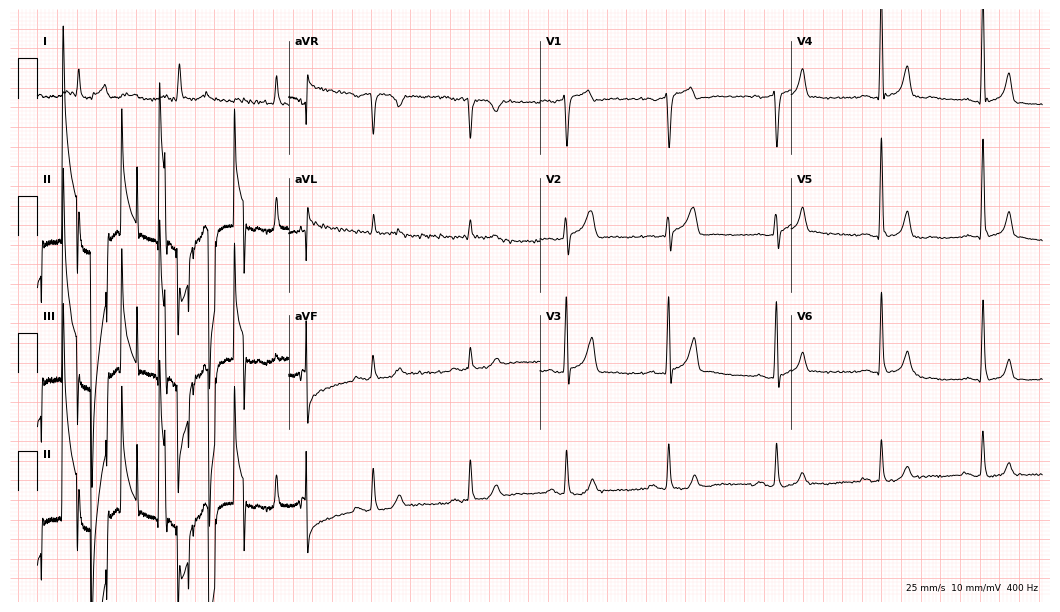
12-lead ECG from a 54-year-old male patient. Screened for six findings — first-degree AV block, right bundle branch block, left bundle branch block, sinus bradycardia, atrial fibrillation, sinus tachycardia — none is recorded.